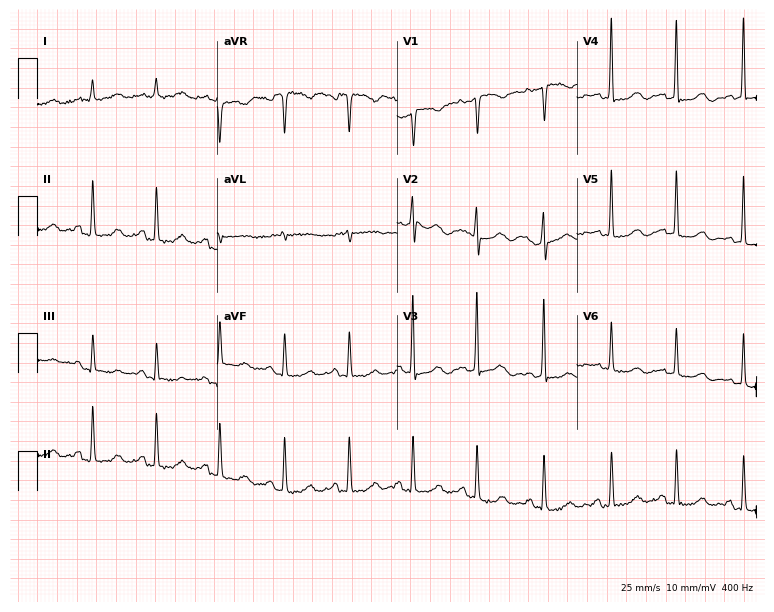
12-lead ECG from a 73-year-old woman. Screened for six findings — first-degree AV block, right bundle branch block, left bundle branch block, sinus bradycardia, atrial fibrillation, sinus tachycardia — none is recorded.